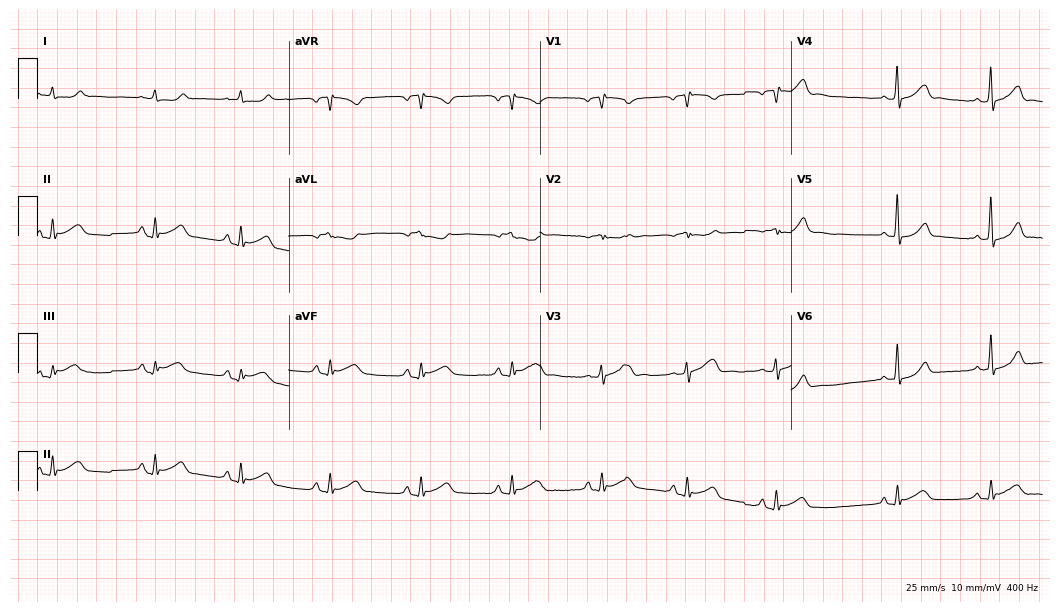
12-lead ECG from a male patient, 62 years old. No first-degree AV block, right bundle branch block (RBBB), left bundle branch block (LBBB), sinus bradycardia, atrial fibrillation (AF) or sinus tachycardia recorded for this tracing. Findings outside these six are not listed.